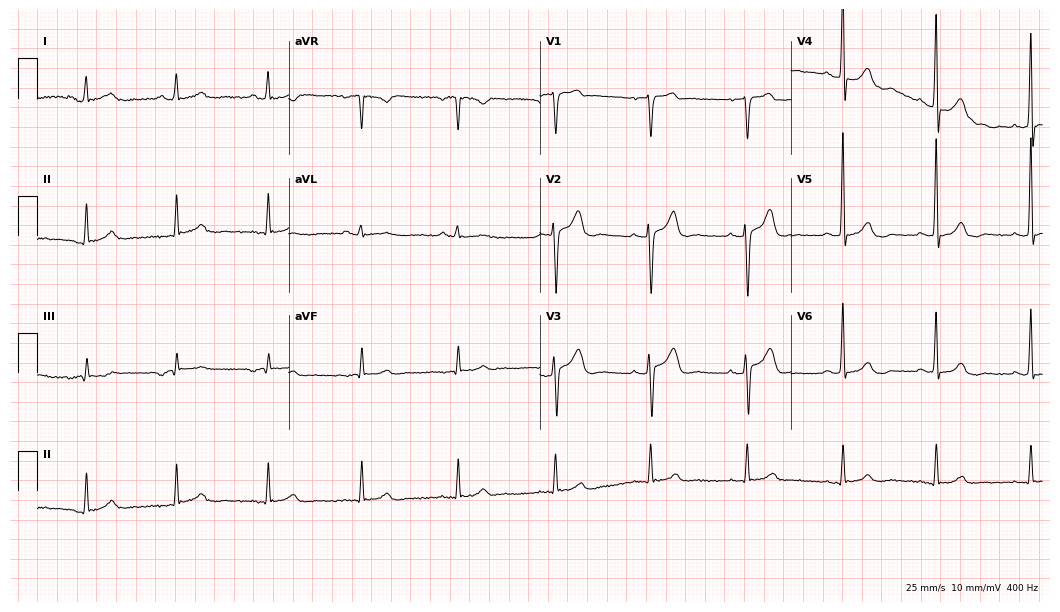
Electrocardiogram (10.2-second recording at 400 Hz), a male, 58 years old. Overall reading on record: normal ECG.